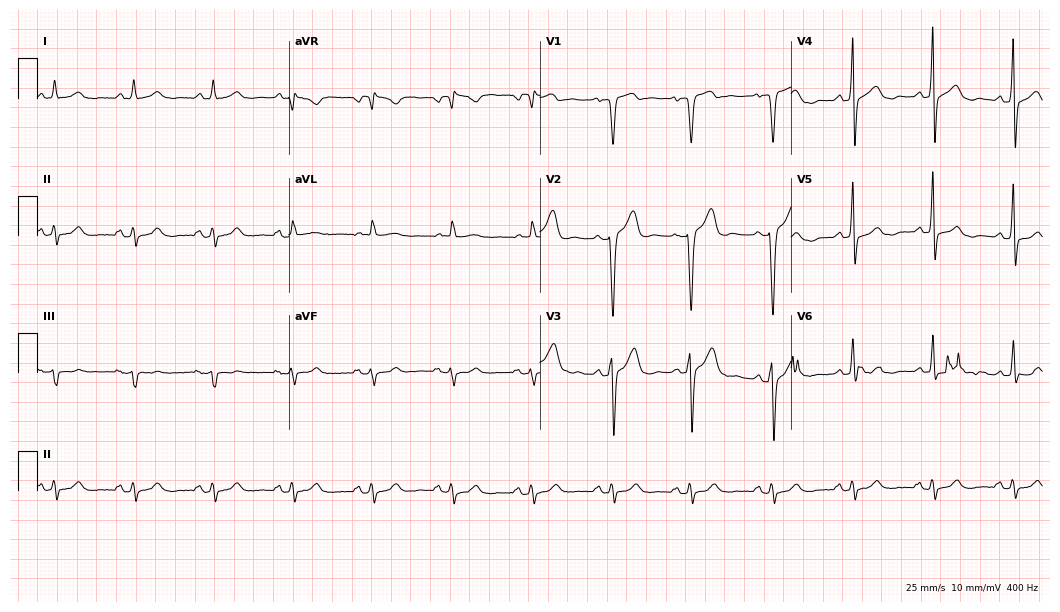
Standard 12-lead ECG recorded from a male, 69 years old. Read as a normal ECG.